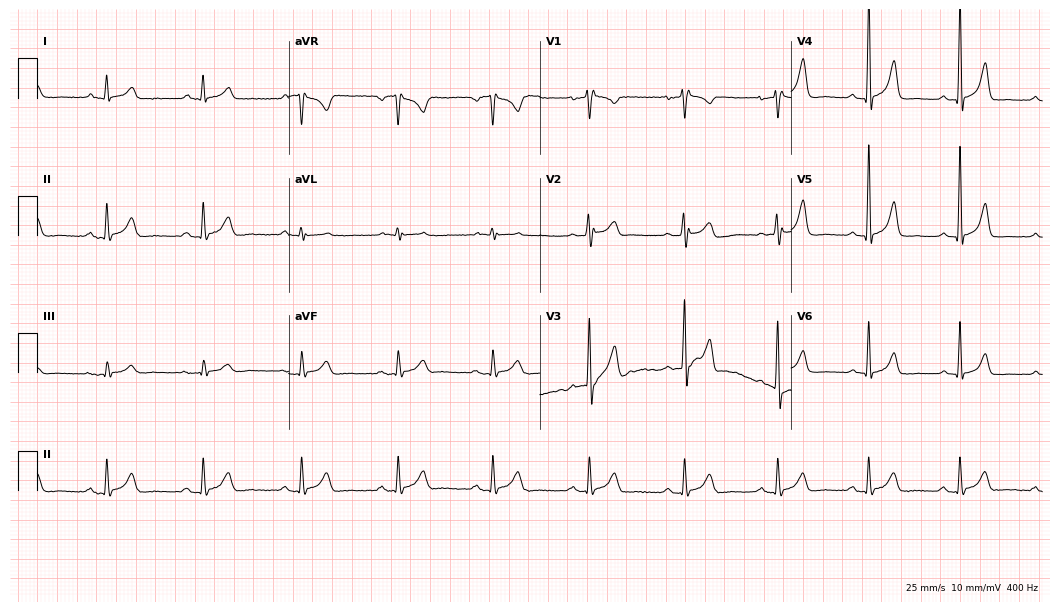
Electrocardiogram, a male, 56 years old. Of the six screened findings (first-degree AV block, right bundle branch block, left bundle branch block, sinus bradycardia, atrial fibrillation, sinus tachycardia), none is recorded. Only these six findings were labelled.